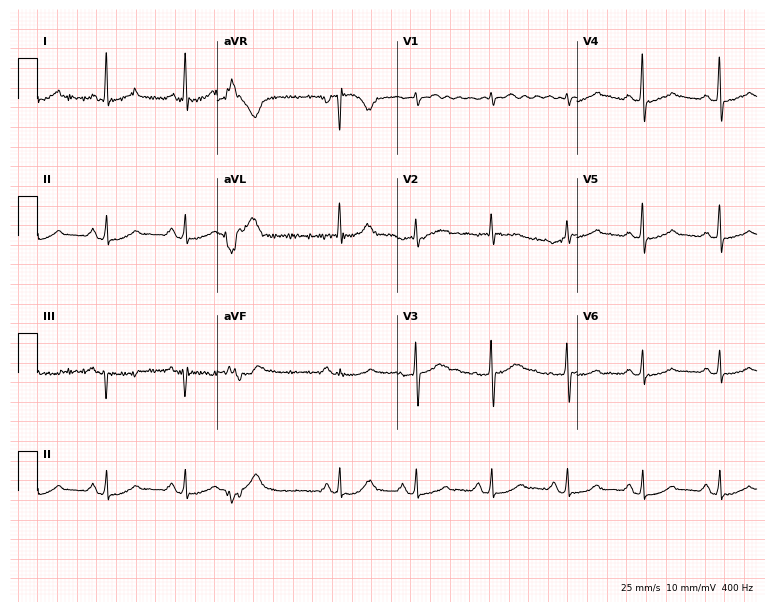
ECG — a 68-year-old female patient. Screened for six findings — first-degree AV block, right bundle branch block (RBBB), left bundle branch block (LBBB), sinus bradycardia, atrial fibrillation (AF), sinus tachycardia — none is recorded.